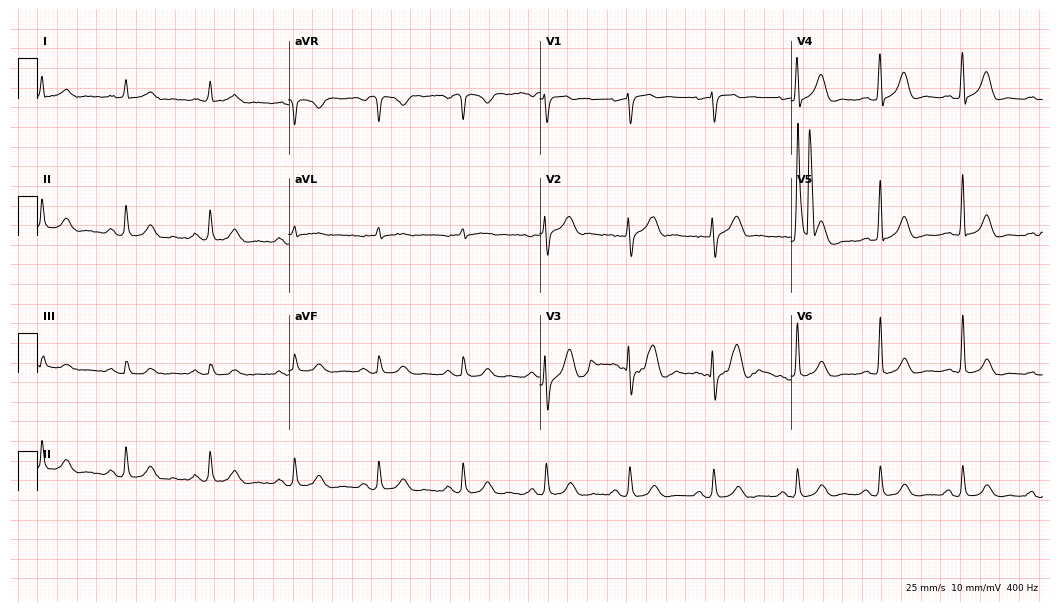
12-lead ECG from a 73-year-old male patient (10.2-second recording at 400 Hz). Recorded interpretation: within normal limits.